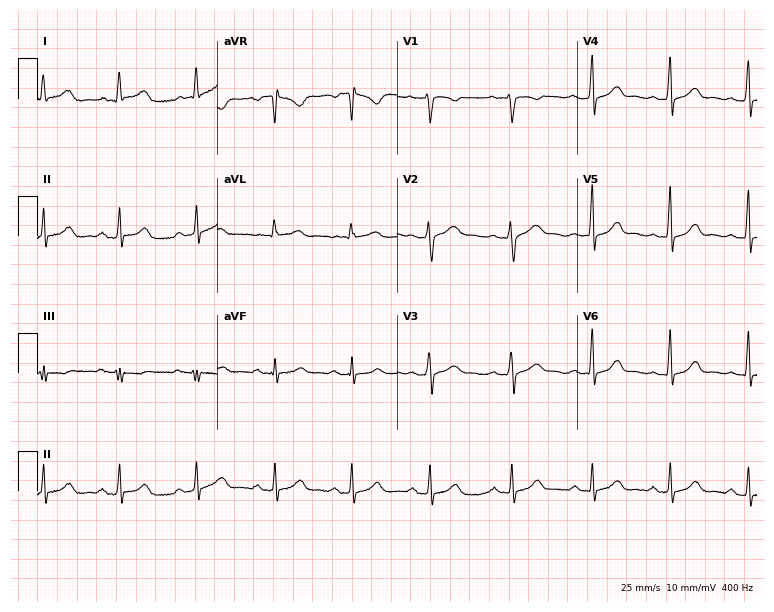
12-lead ECG from a 37-year-old woman. Screened for six findings — first-degree AV block, right bundle branch block, left bundle branch block, sinus bradycardia, atrial fibrillation, sinus tachycardia — none is recorded. Findings outside these six are not listed.